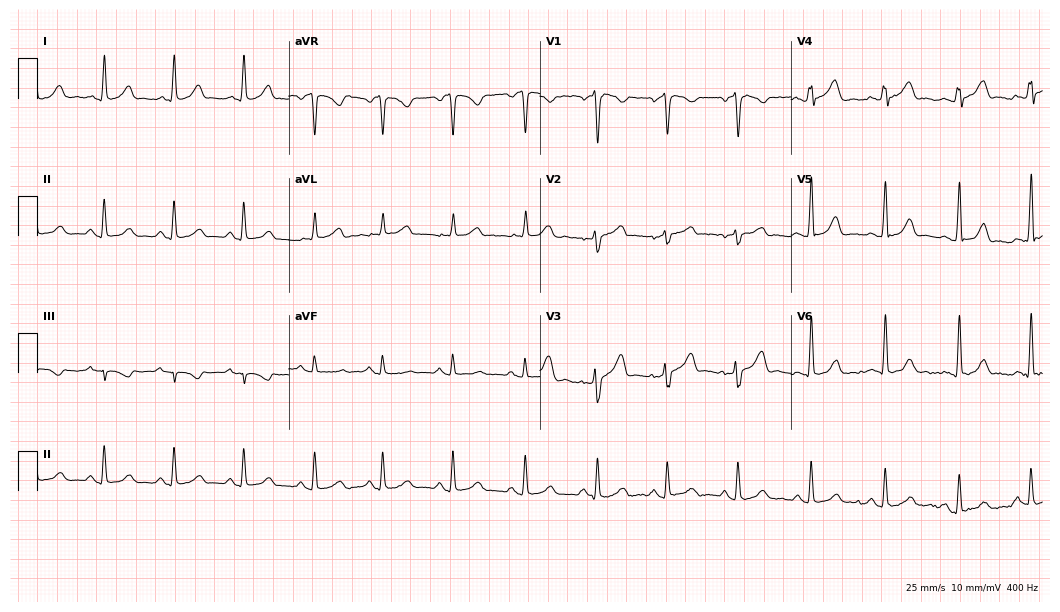
12-lead ECG (10.2-second recording at 400 Hz) from a male patient, 34 years old. Labelled as a normal ECG.